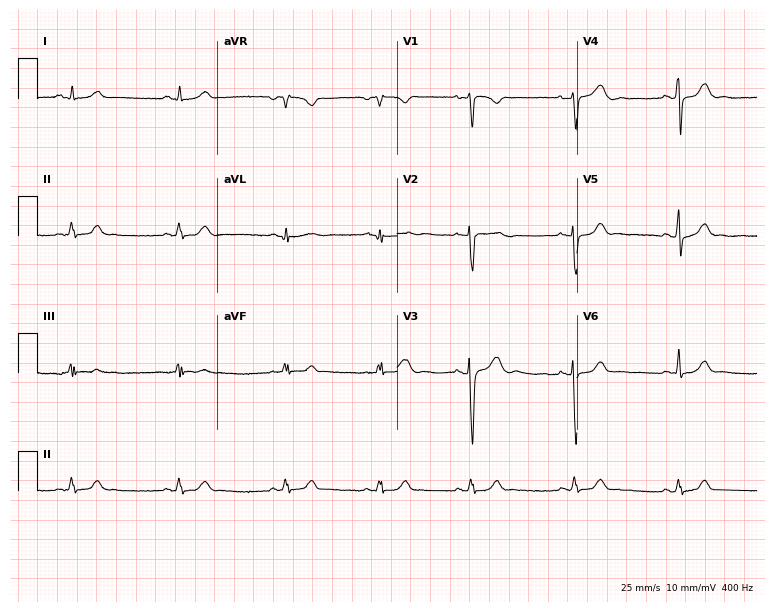
Standard 12-lead ECG recorded from a 26-year-old female (7.3-second recording at 400 Hz). None of these six findings is recorded: first-degree AV block, right bundle branch block, left bundle branch block, sinus bradycardia, atrial fibrillation, sinus tachycardia.